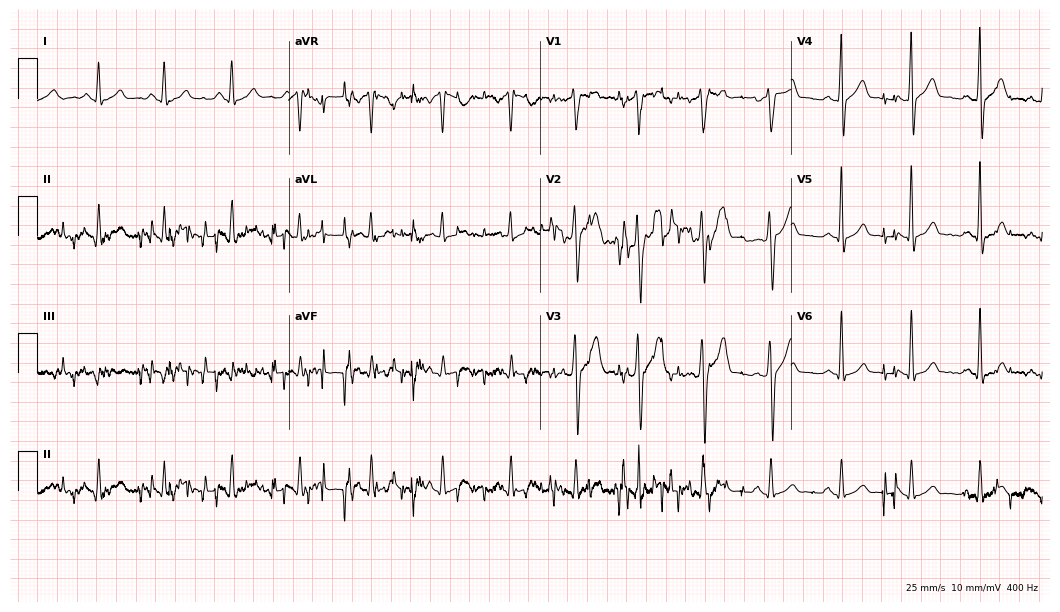
12-lead ECG from a 28-year-old male. No first-degree AV block, right bundle branch block, left bundle branch block, sinus bradycardia, atrial fibrillation or sinus tachycardia recorded for this tracing. Other findings, if any, are not listed.